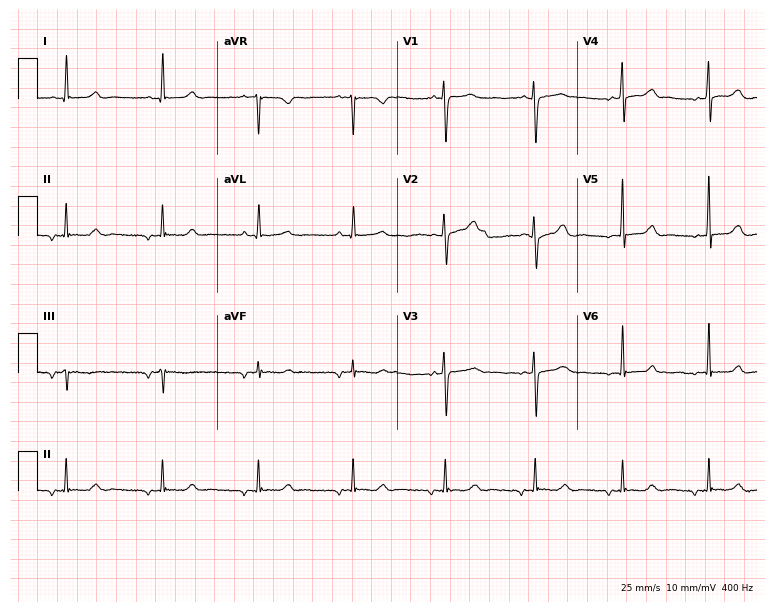
Resting 12-lead electrocardiogram. Patient: a female, 63 years old. None of these six findings is recorded: first-degree AV block, right bundle branch block, left bundle branch block, sinus bradycardia, atrial fibrillation, sinus tachycardia.